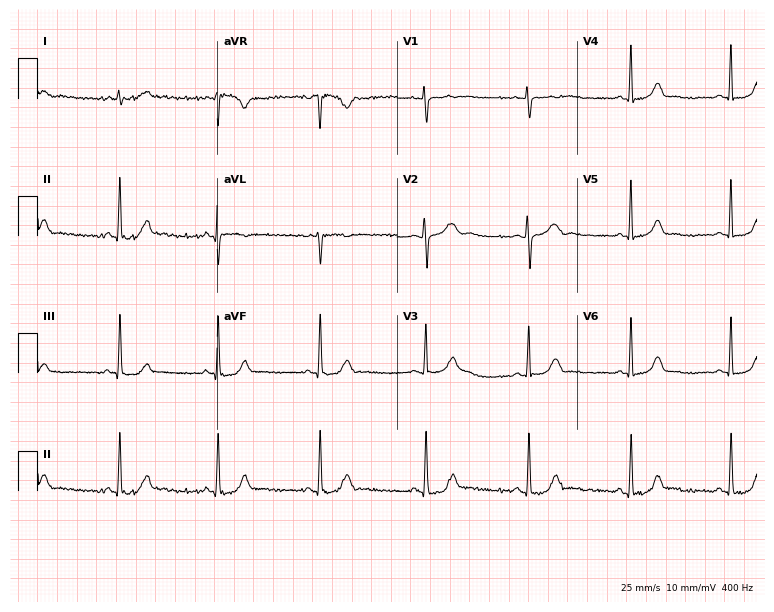
Standard 12-lead ECG recorded from a female, 40 years old (7.3-second recording at 400 Hz). None of these six findings is recorded: first-degree AV block, right bundle branch block, left bundle branch block, sinus bradycardia, atrial fibrillation, sinus tachycardia.